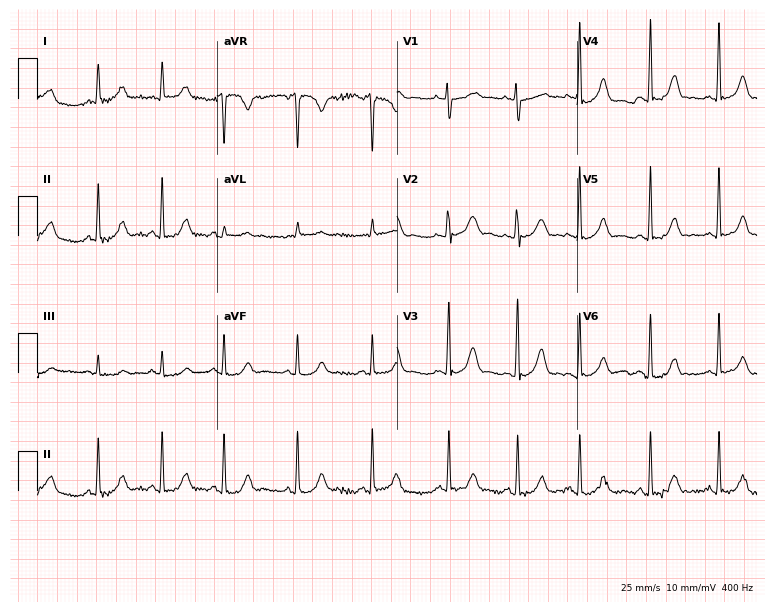
Resting 12-lead electrocardiogram. Patient: a 39-year-old female. Read as a normal ECG.